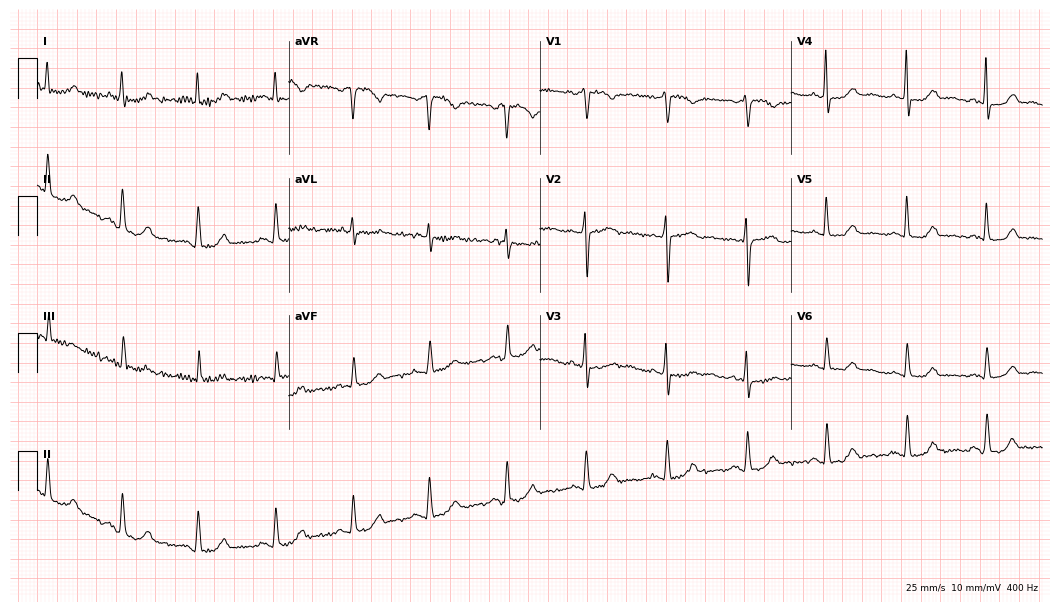
12-lead ECG from a woman, 60 years old. Recorded interpretation: within normal limits.